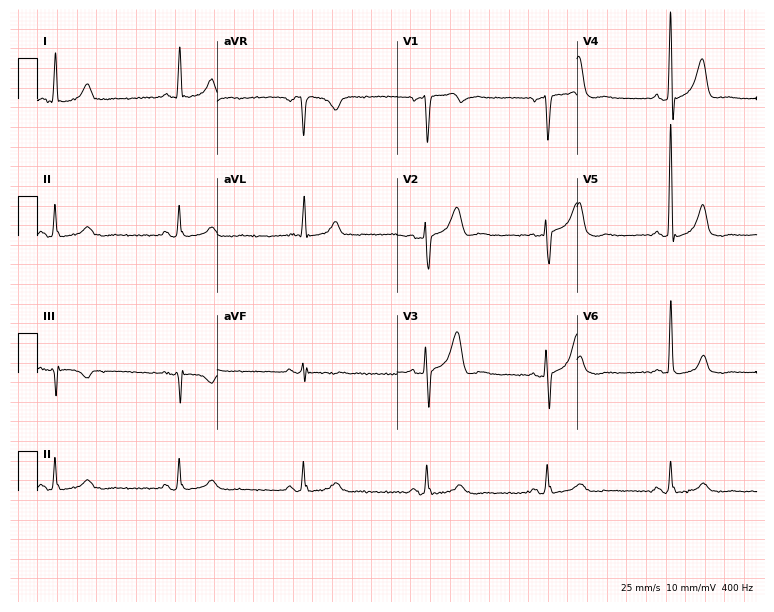
12-lead ECG from a man, 76 years old. Findings include sinus bradycardia (a sinus rate of 50 beats per minute or less).